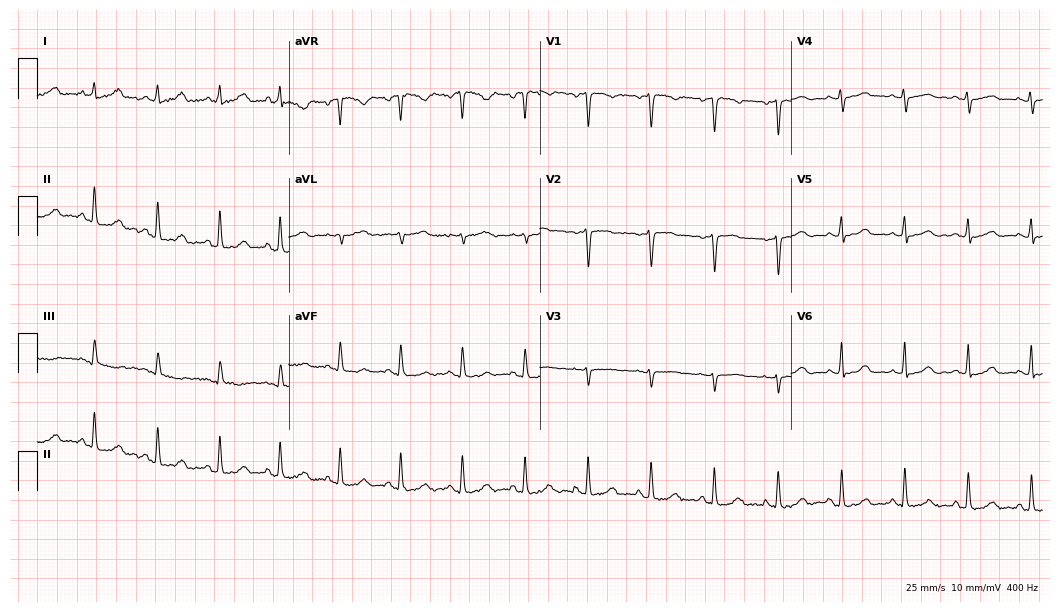
Electrocardiogram (10.2-second recording at 400 Hz), a female, 37 years old. Of the six screened findings (first-degree AV block, right bundle branch block (RBBB), left bundle branch block (LBBB), sinus bradycardia, atrial fibrillation (AF), sinus tachycardia), none is recorded.